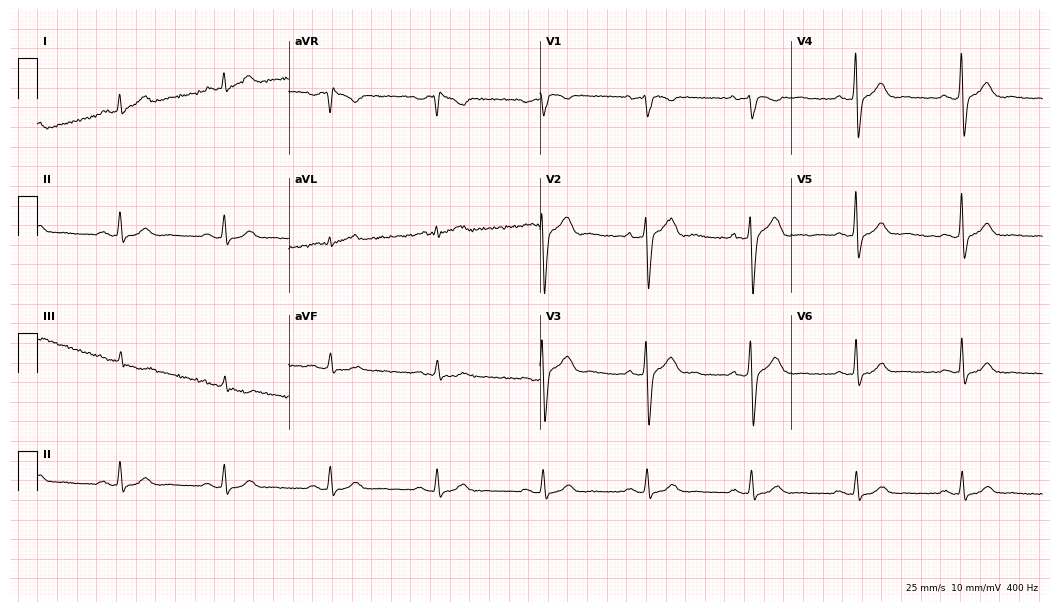
Electrocardiogram, a 53-year-old male patient. Of the six screened findings (first-degree AV block, right bundle branch block (RBBB), left bundle branch block (LBBB), sinus bradycardia, atrial fibrillation (AF), sinus tachycardia), none is recorded. Only these six findings were labelled.